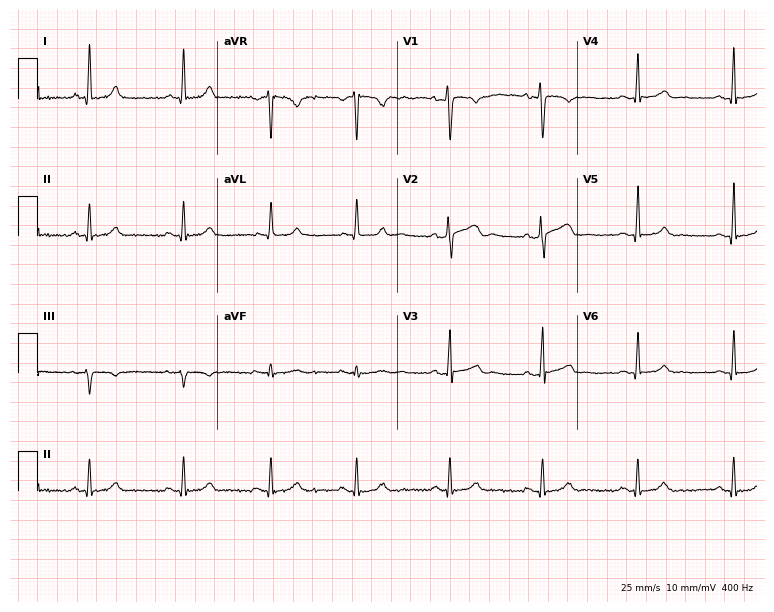
12-lead ECG (7.3-second recording at 400 Hz) from a 35-year-old man. Labelled as a normal ECG.